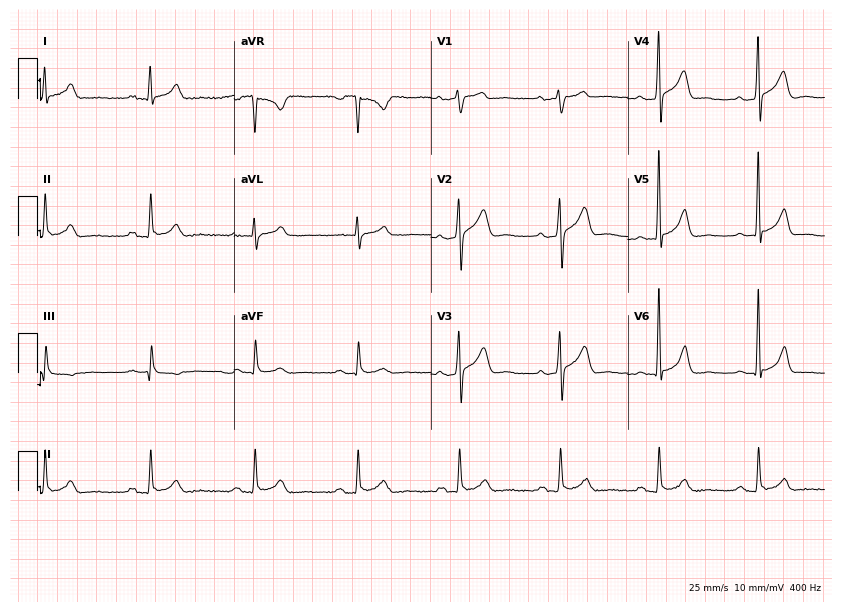
Electrocardiogram, a male patient, 39 years old. Overall reading on record: normal ECG.